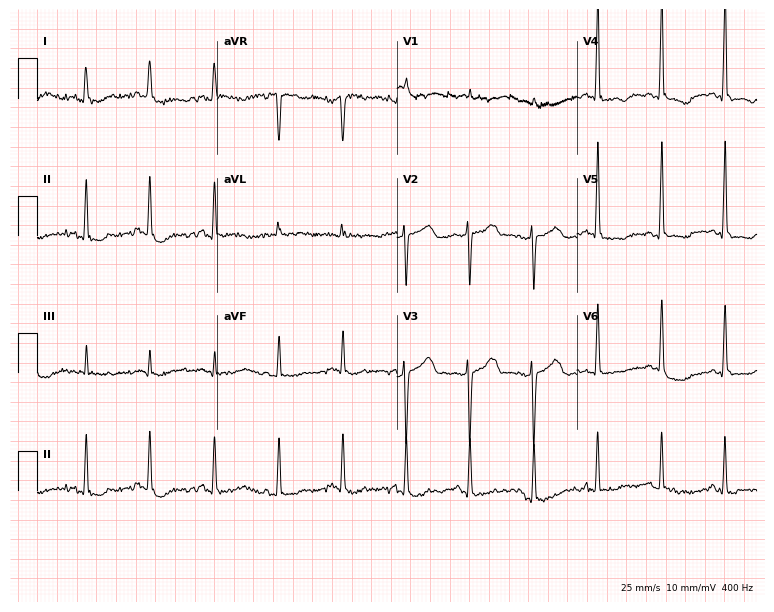
12-lead ECG from a 54-year-old female patient. Screened for six findings — first-degree AV block, right bundle branch block (RBBB), left bundle branch block (LBBB), sinus bradycardia, atrial fibrillation (AF), sinus tachycardia — none is recorded. Other findings, if any, are not listed.